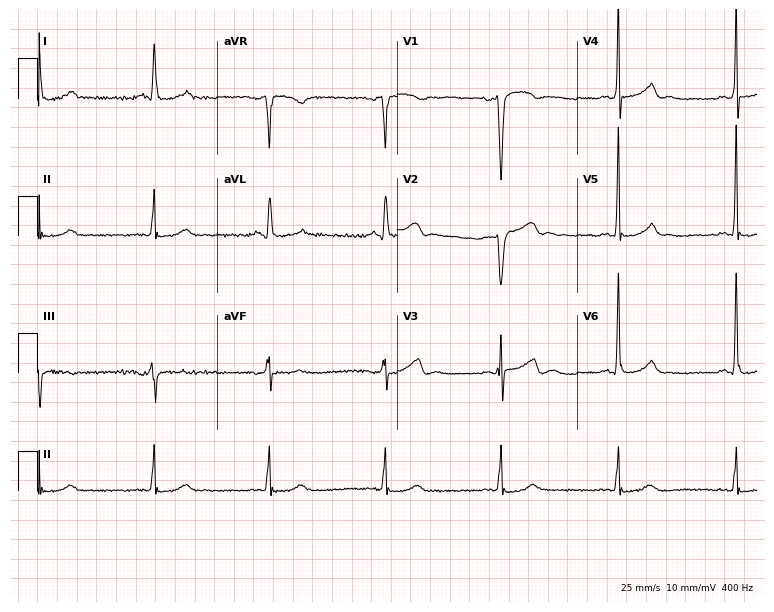
12-lead ECG (7.3-second recording at 400 Hz) from a female patient, 68 years old. Screened for six findings — first-degree AV block, right bundle branch block, left bundle branch block, sinus bradycardia, atrial fibrillation, sinus tachycardia — none is recorded. Only these six findings were labelled.